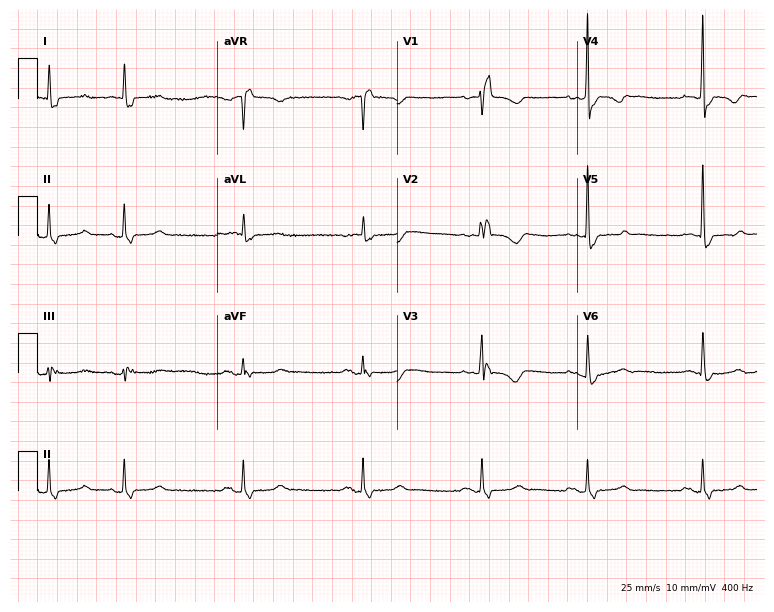
12-lead ECG (7.3-second recording at 400 Hz) from a female patient, 85 years old. Findings include right bundle branch block.